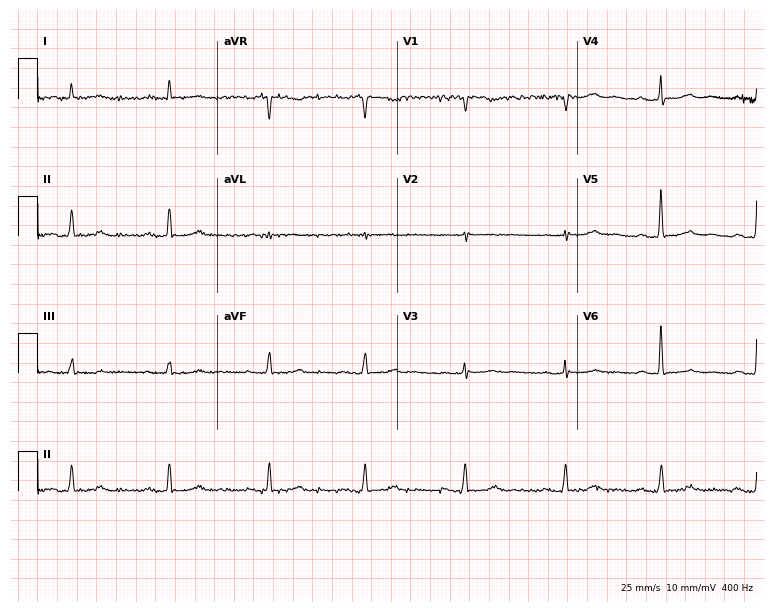
Electrocardiogram (7.3-second recording at 400 Hz), a woman, 72 years old. Of the six screened findings (first-degree AV block, right bundle branch block, left bundle branch block, sinus bradycardia, atrial fibrillation, sinus tachycardia), none is recorded.